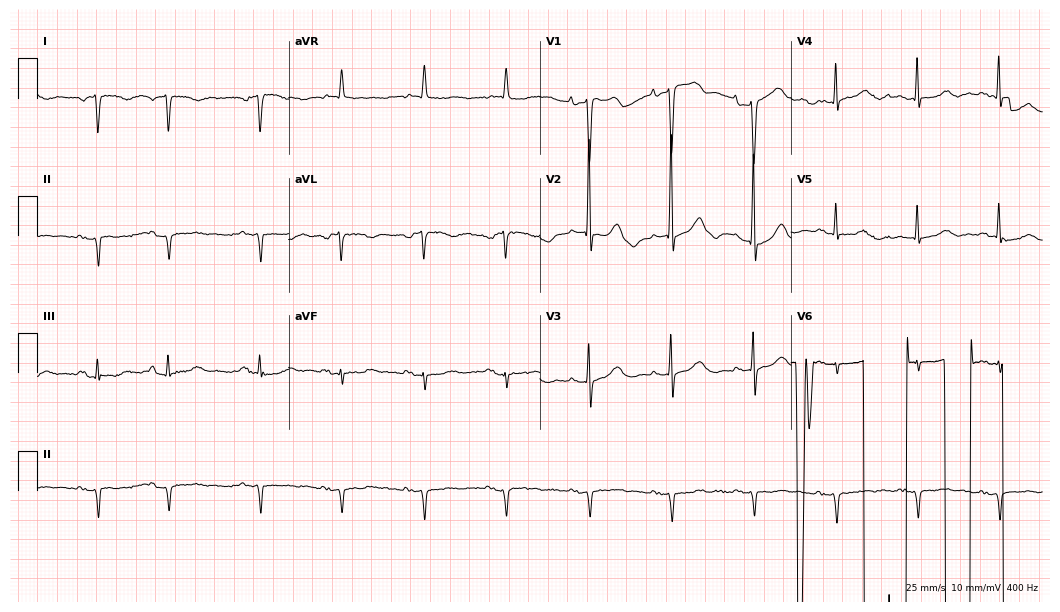
12-lead ECG (10.2-second recording at 400 Hz) from an 84-year-old female patient. Screened for six findings — first-degree AV block, right bundle branch block, left bundle branch block, sinus bradycardia, atrial fibrillation, sinus tachycardia — none is recorded. Only these six findings were labelled.